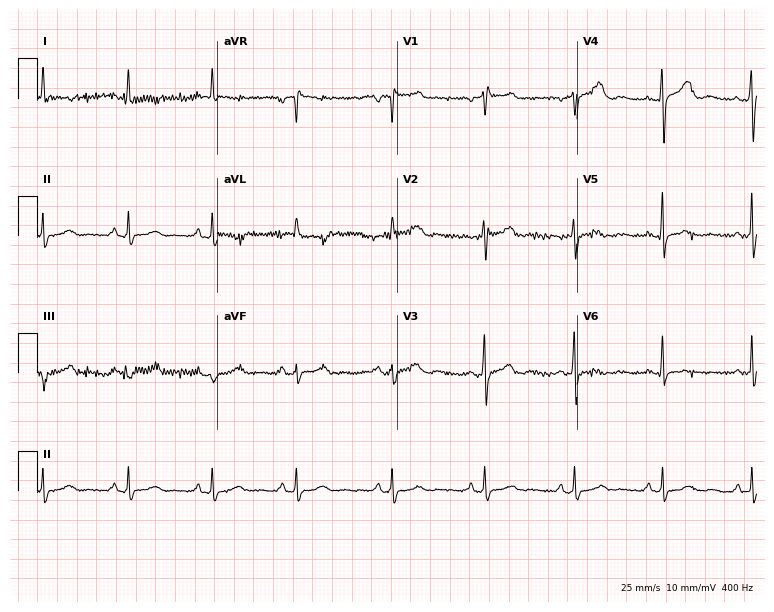
Resting 12-lead electrocardiogram (7.3-second recording at 400 Hz). Patient: a 64-year-old female. Read as a normal ECG.